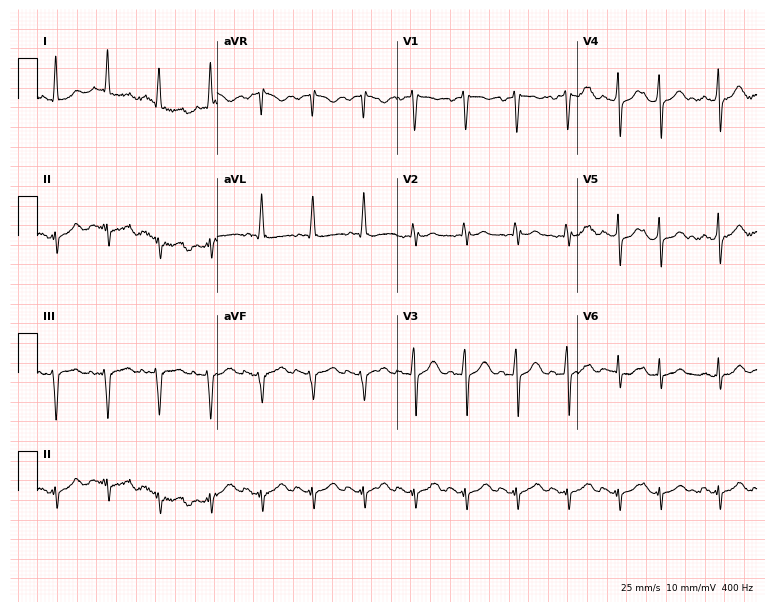
12-lead ECG from a 73-year-old male patient. Findings include sinus tachycardia (a sinus rate of 100 beats per minute or more).